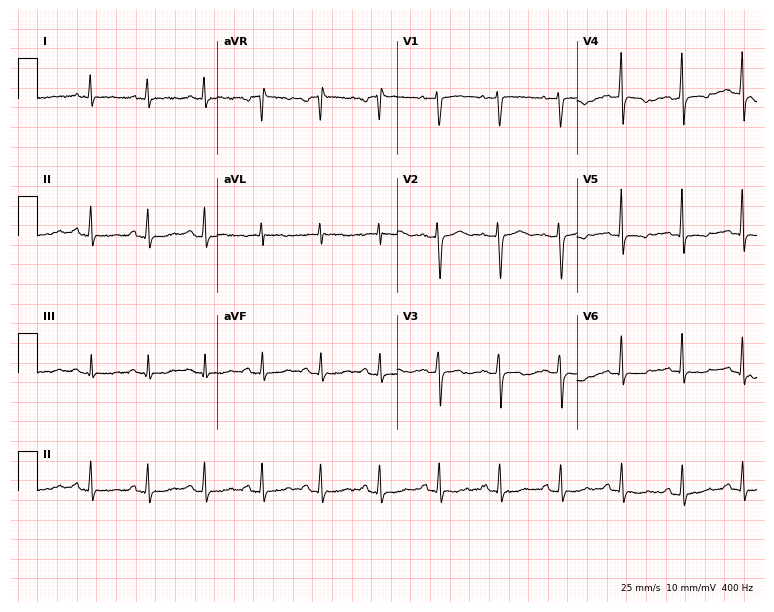
Standard 12-lead ECG recorded from a 53-year-old female patient. None of these six findings is recorded: first-degree AV block, right bundle branch block (RBBB), left bundle branch block (LBBB), sinus bradycardia, atrial fibrillation (AF), sinus tachycardia. Other findings, if any, are not listed.